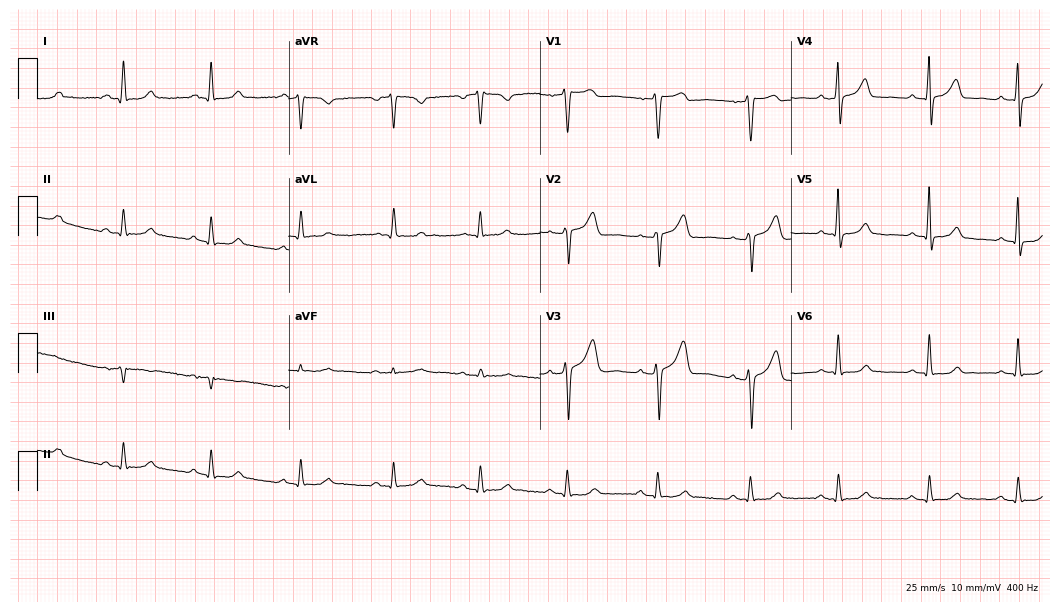
Standard 12-lead ECG recorded from a 61-year-old male patient (10.2-second recording at 400 Hz). Read as a normal ECG.